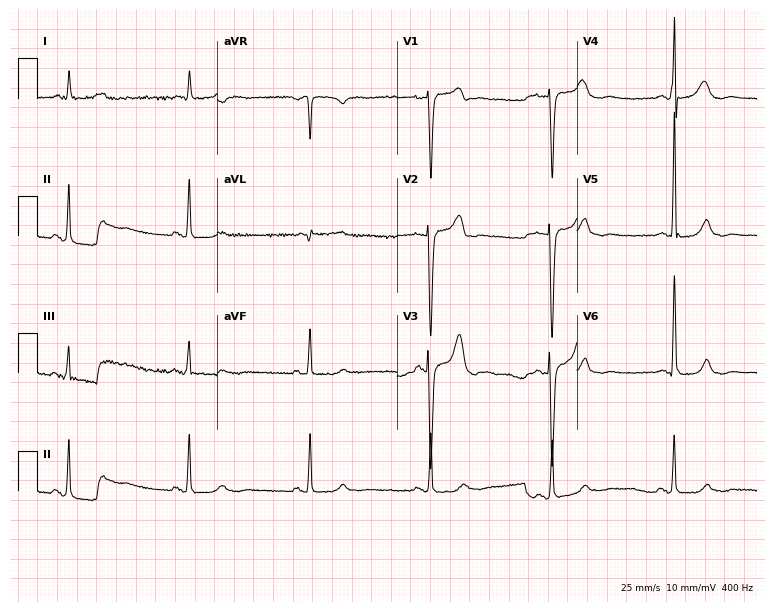
ECG (7.3-second recording at 400 Hz) — a 51-year-old man. Screened for six findings — first-degree AV block, right bundle branch block (RBBB), left bundle branch block (LBBB), sinus bradycardia, atrial fibrillation (AF), sinus tachycardia — none is recorded.